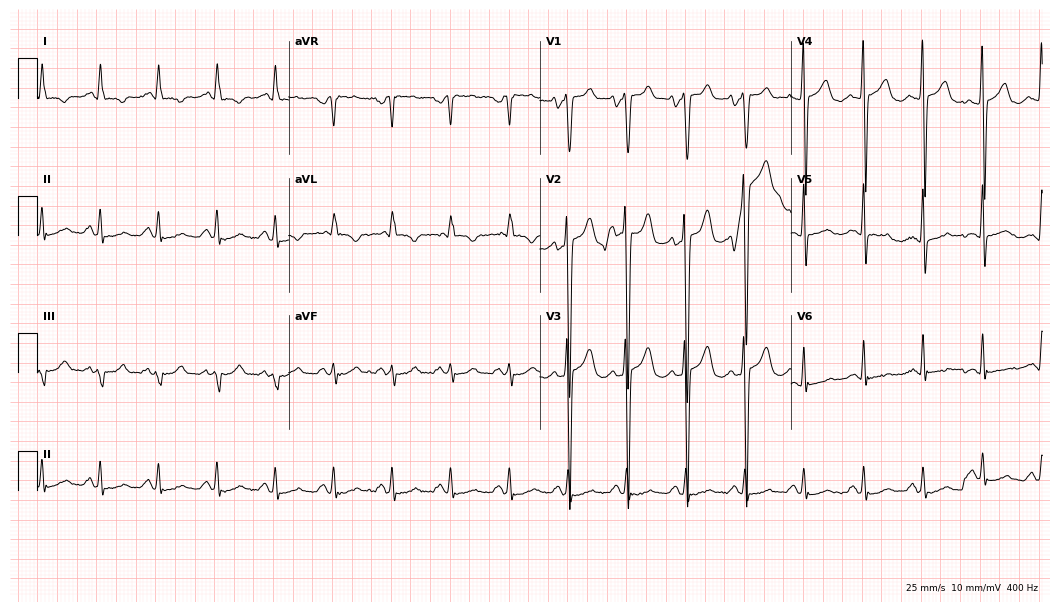
Resting 12-lead electrocardiogram. Patient: a woman, 28 years old. None of these six findings is recorded: first-degree AV block, right bundle branch block, left bundle branch block, sinus bradycardia, atrial fibrillation, sinus tachycardia.